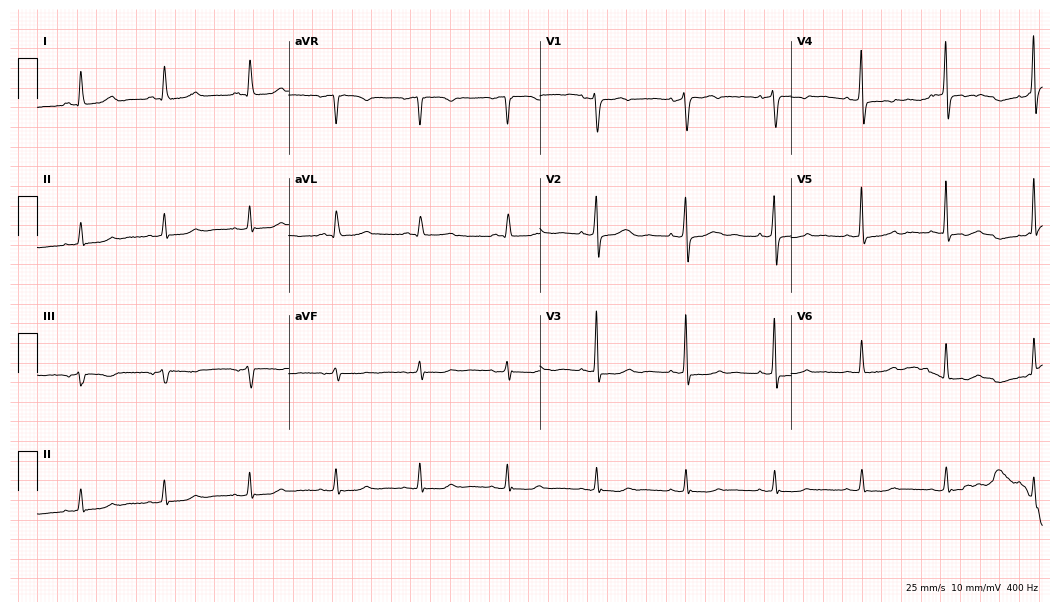
ECG (10.2-second recording at 400 Hz) — a woman, 68 years old. Screened for six findings — first-degree AV block, right bundle branch block (RBBB), left bundle branch block (LBBB), sinus bradycardia, atrial fibrillation (AF), sinus tachycardia — none is recorded. Other findings, if any, are not listed.